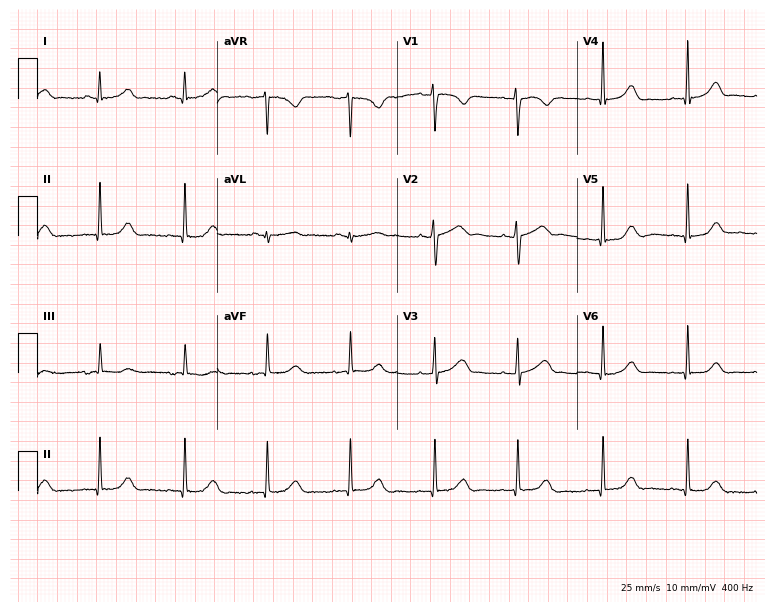
Resting 12-lead electrocardiogram (7.3-second recording at 400 Hz). Patient: a 47-year-old female. Read as a normal ECG.